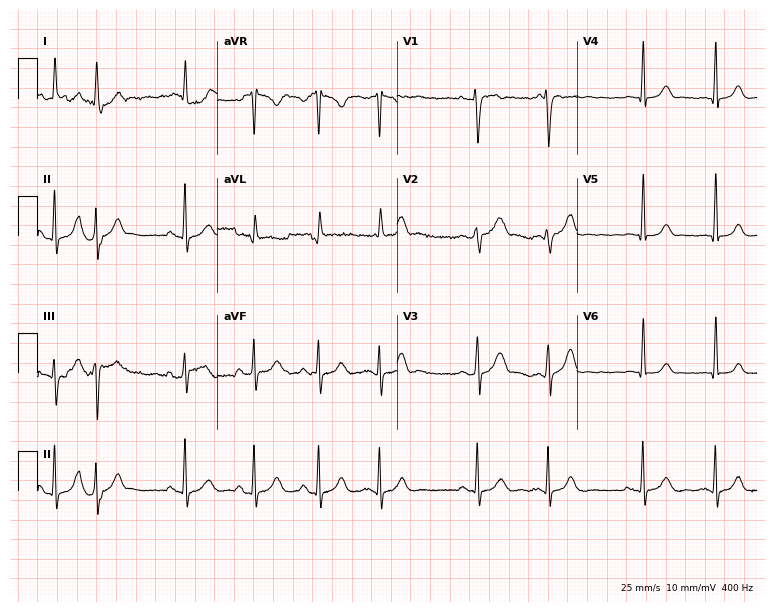
12-lead ECG from a 66-year-old male patient (7.3-second recording at 400 Hz). No first-degree AV block, right bundle branch block, left bundle branch block, sinus bradycardia, atrial fibrillation or sinus tachycardia recorded for this tracing.